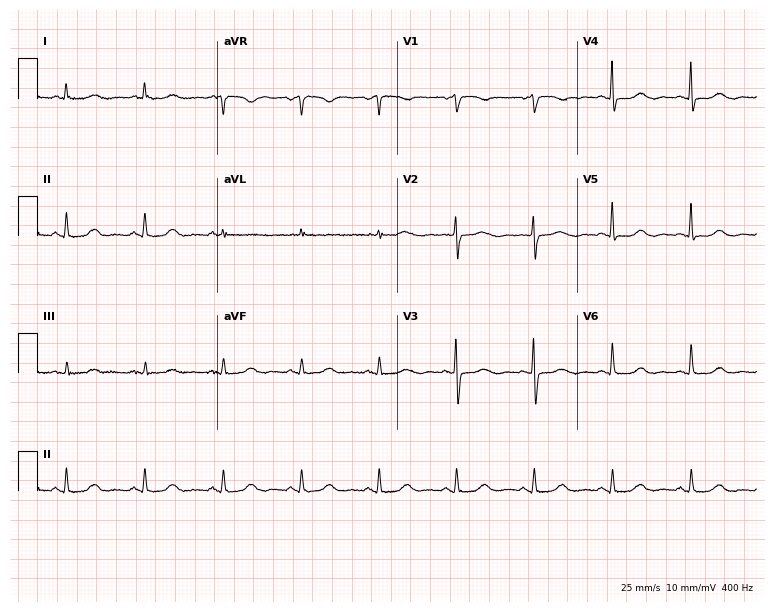
Resting 12-lead electrocardiogram (7.3-second recording at 400 Hz). Patient: a 63-year-old female. Read as a normal ECG.